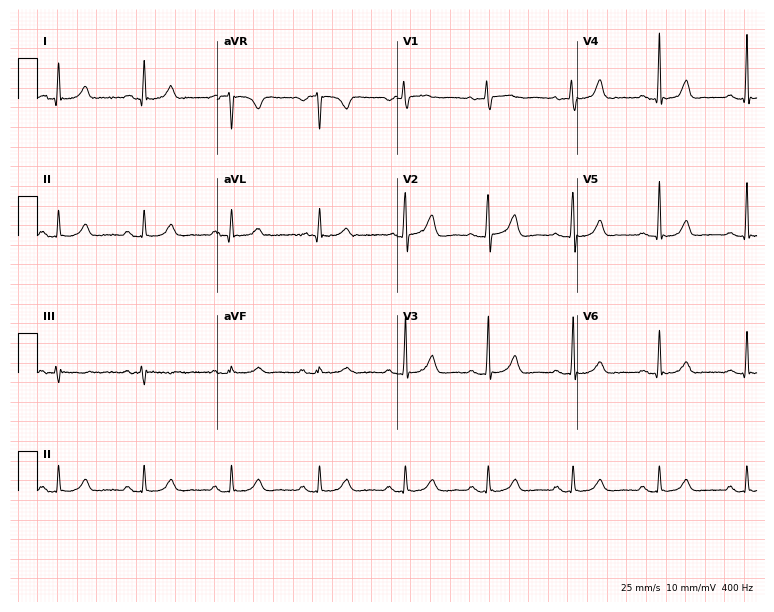
Resting 12-lead electrocardiogram. Patient: a 47-year-old female. Read as a normal ECG.